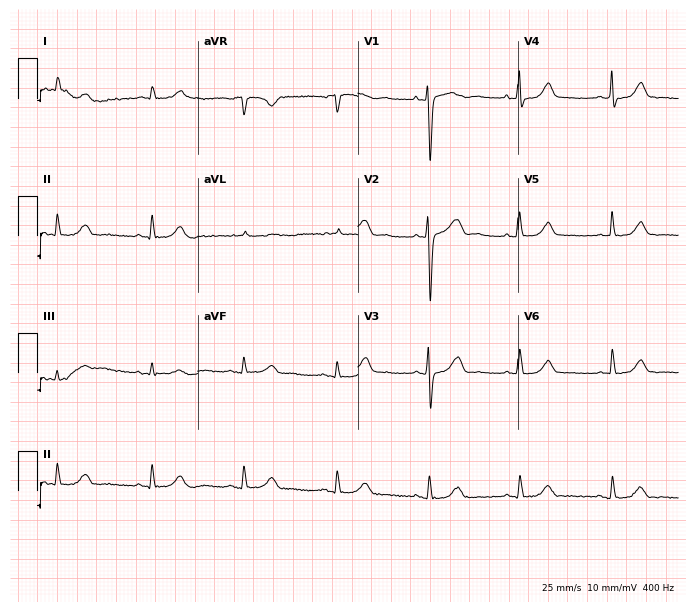
Standard 12-lead ECG recorded from a female patient, 47 years old. Read as a normal ECG.